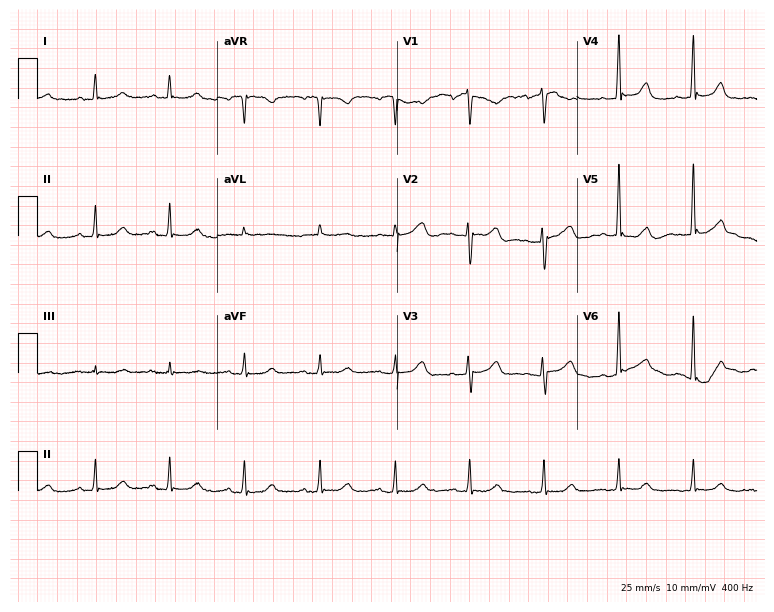
12-lead ECG (7.3-second recording at 400 Hz) from a 67-year-old female. Labelled as a normal ECG.